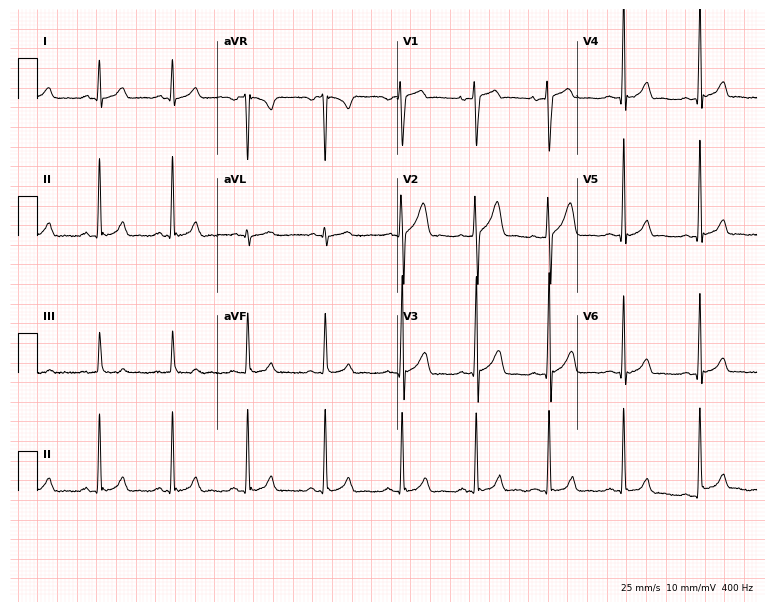
12-lead ECG from a male patient, 29 years old. Labelled as a normal ECG.